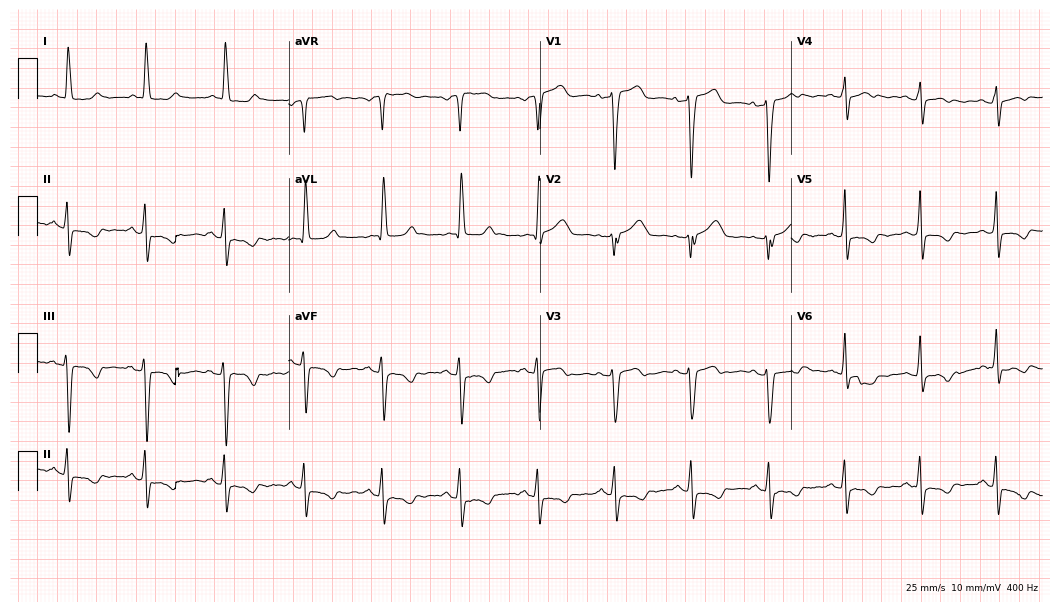
12-lead ECG from a female patient, 59 years old. No first-degree AV block, right bundle branch block, left bundle branch block, sinus bradycardia, atrial fibrillation or sinus tachycardia recorded for this tracing.